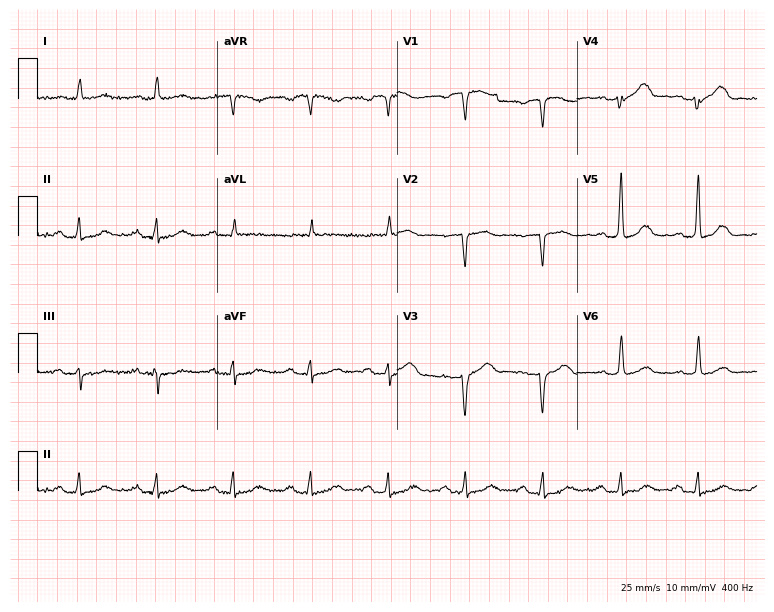
Electrocardiogram (7.3-second recording at 400 Hz), a woman, 77 years old. Interpretation includes first-degree AV block.